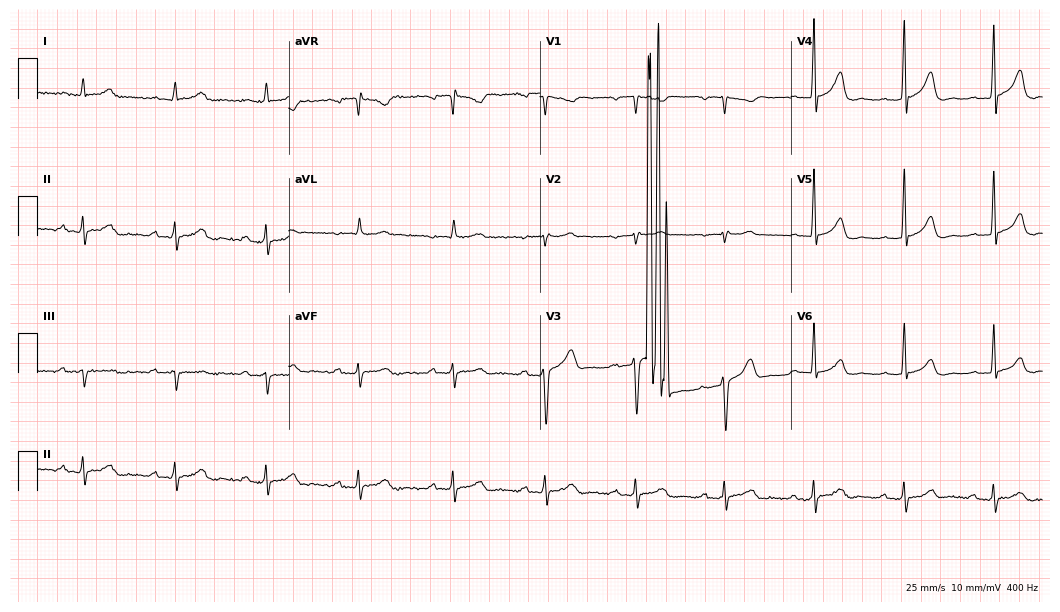
12-lead ECG from a male, 70 years old (10.2-second recording at 400 Hz). No first-degree AV block, right bundle branch block, left bundle branch block, sinus bradycardia, atrial fibrillation or sinus tachycardia recorded for this tracing. Only these six findings were labelled.